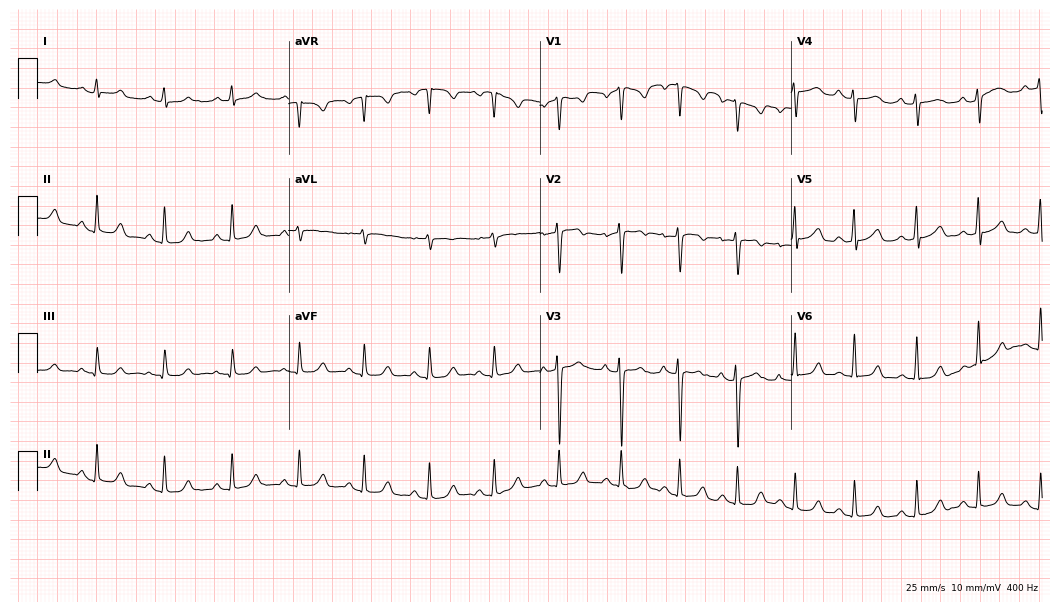
ECG — a 21-year-old female. Labelled as a normal ECG.